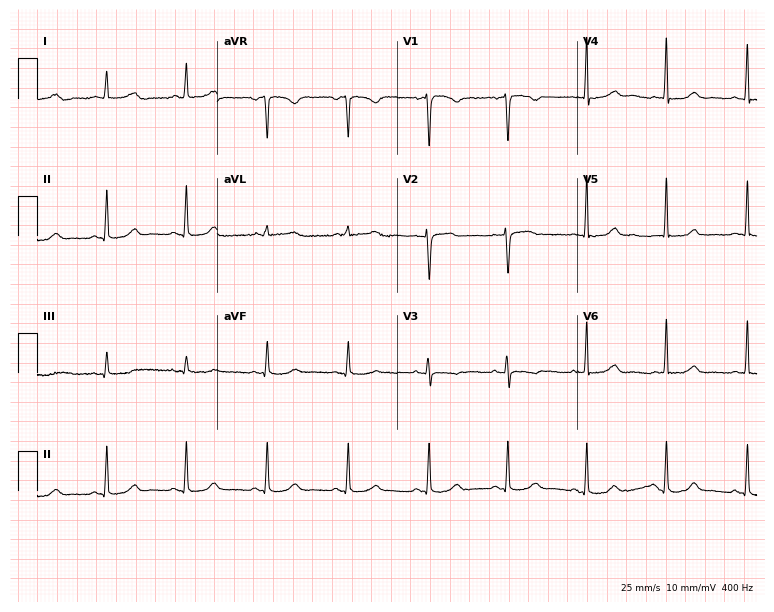
Standard 12-lead ECG recorded from a female, 59 years old (7.3-second recording at 400 Hz). Read as a normal ECG.